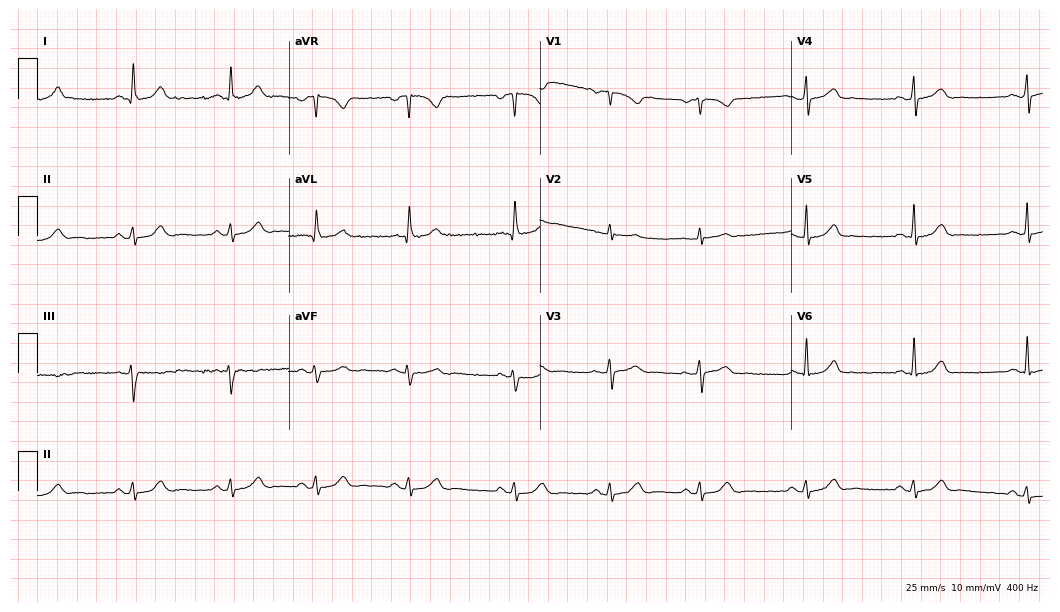
ECG — a female, 39 years old. Labelled as a normal ECG.